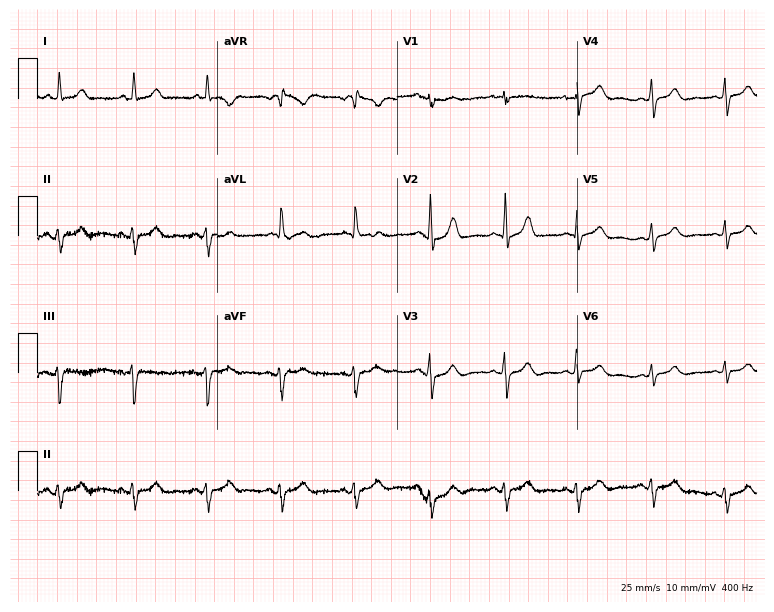
Electrocardiogram (7.3-second recording at 400 Hz), a 66-year-old female patient. Of the six screened findings (first-degree AV block, right bundle branch block, left bundle branch block, sinus bradycardia, atrial fibrillation, sinus tachycardia), none is recorded.